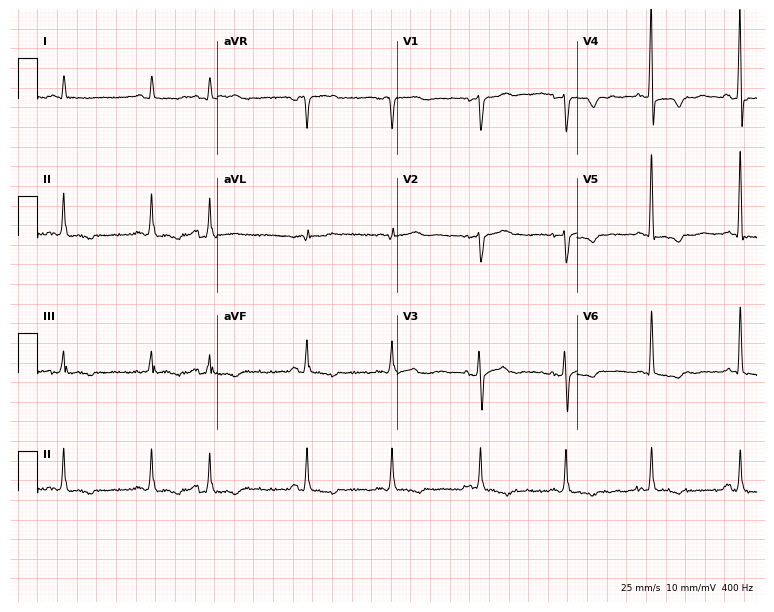
ECG (7.3-second recording at 400 Hz) — an 85-year-old man. Screened for six findings — first-degree AV block, right bundle branch block (RBBB), left bundle branch block (LBBB), sinus bradycardia, atrial fibrillation (AF), sinus tachycardia — none is recorded.